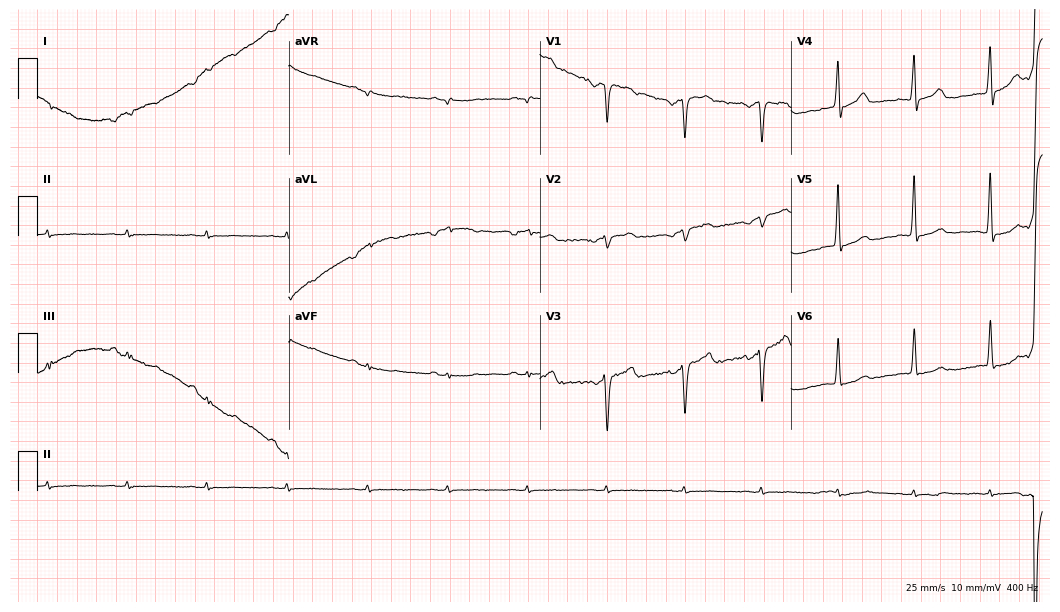
ECG (10.2-second recording at 400 Hz) — a 70-year-old man. Screened for six findings — first-degree AV block, right bundle branch block, left bundle branch block, sinus bradycardia, atrial fibrillation, sinus tachycardia — none is recorded. Only these six findings were labelled.